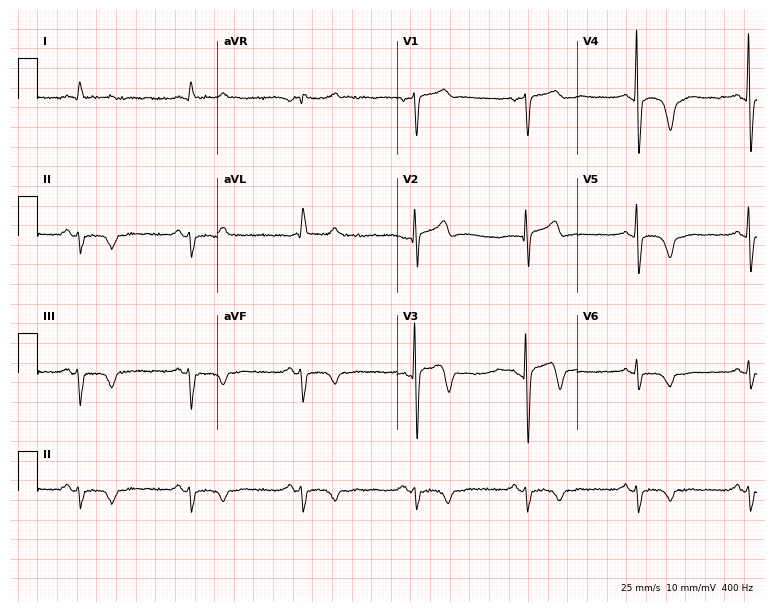
ECG (7.3-second recording at 400 Hz) — a 77-year-old male patient. Screened for six findings — first-degree AV block, right bundle branch block (RBBB), left bundle branch block (LBBB), sinus bradycardia, atrial fibrillation (AF), sinus tachycardia — none is recorded.